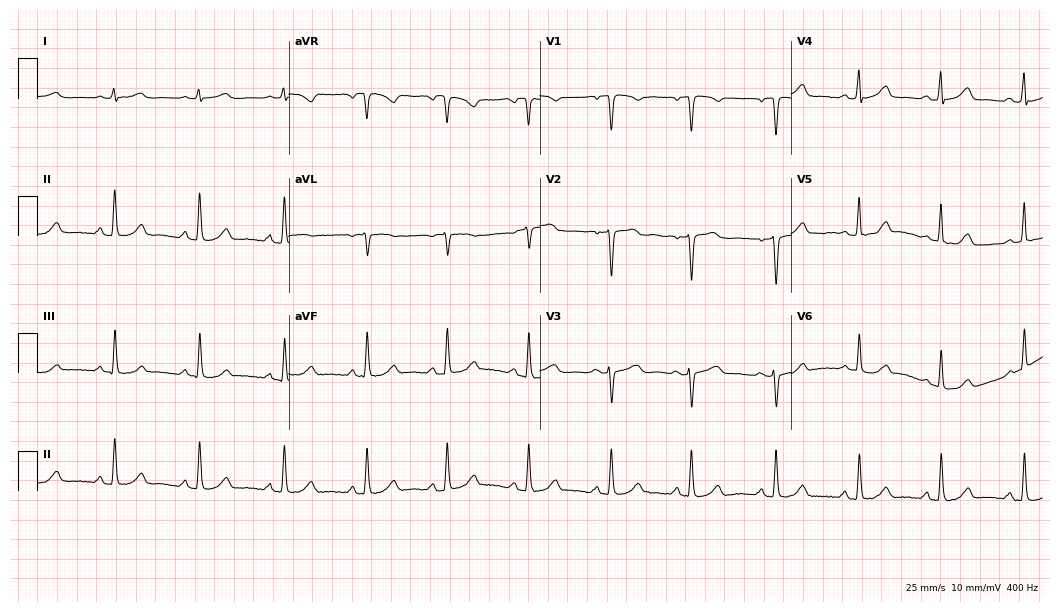
12-lead ECG (10.2-second recording at 400 Hz) from a 41-year-old woman. Labelled as a normal ECG.